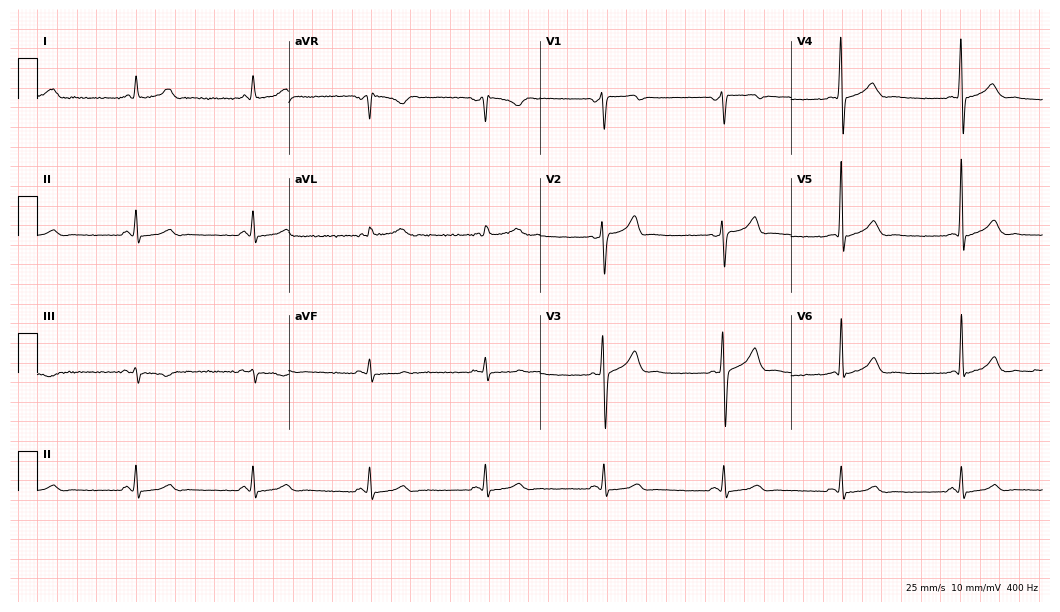
12-lead ECG (10.2-second recording at 400 Hz) from a male, 53 years old. Screened for six findings — first-degree AV block, right bundle branch block, left bundle branch block, sinus bradycardia, atrial fibrillation, sinus tachycardia — none is recorded.